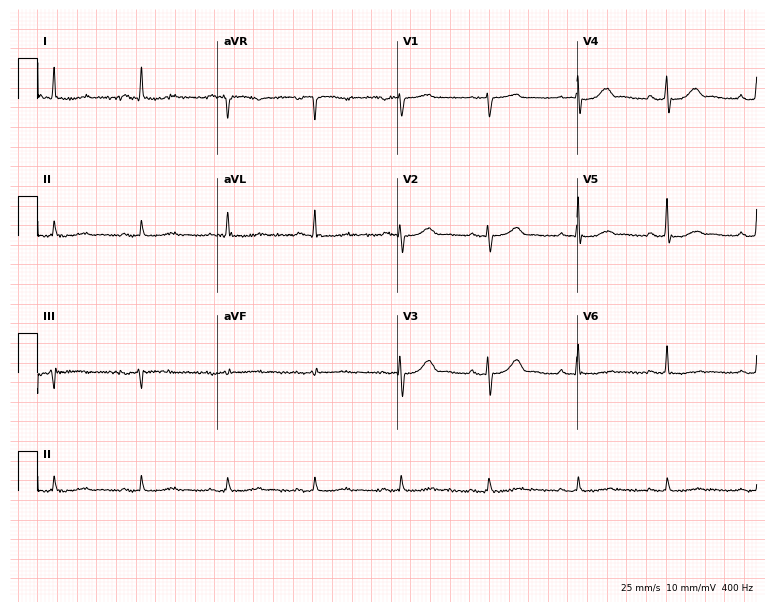
Resting 12-lead electrocardiogram (7.3-second recording at 400 Hz). Patient: a female, 72 years old. Read as a normal ECG.